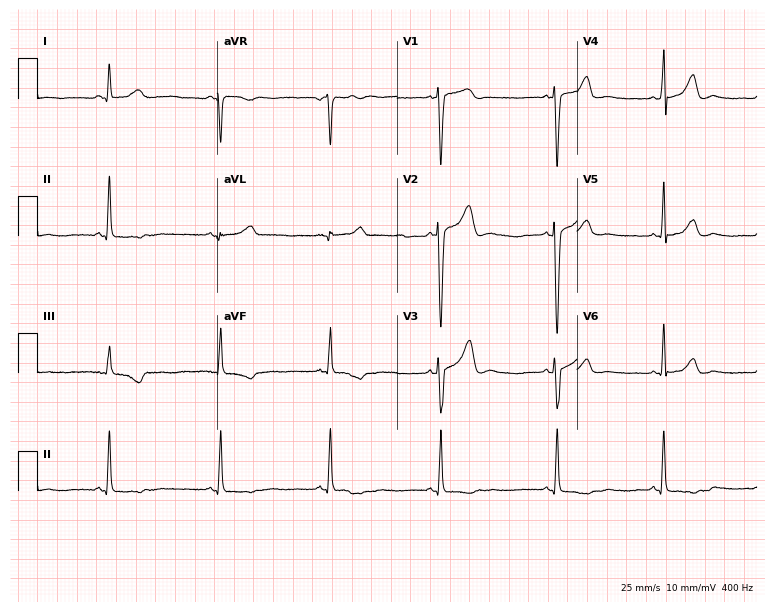
12-lead ECG from a female patient, 32 years old. Screened for six findings — first-degree AV block, right bundle branch block, left bundle branch block, sinus bradycardia, atrial fibrillation, sinus tachycardia — none is recorded. Other findings, if any, are not listed.